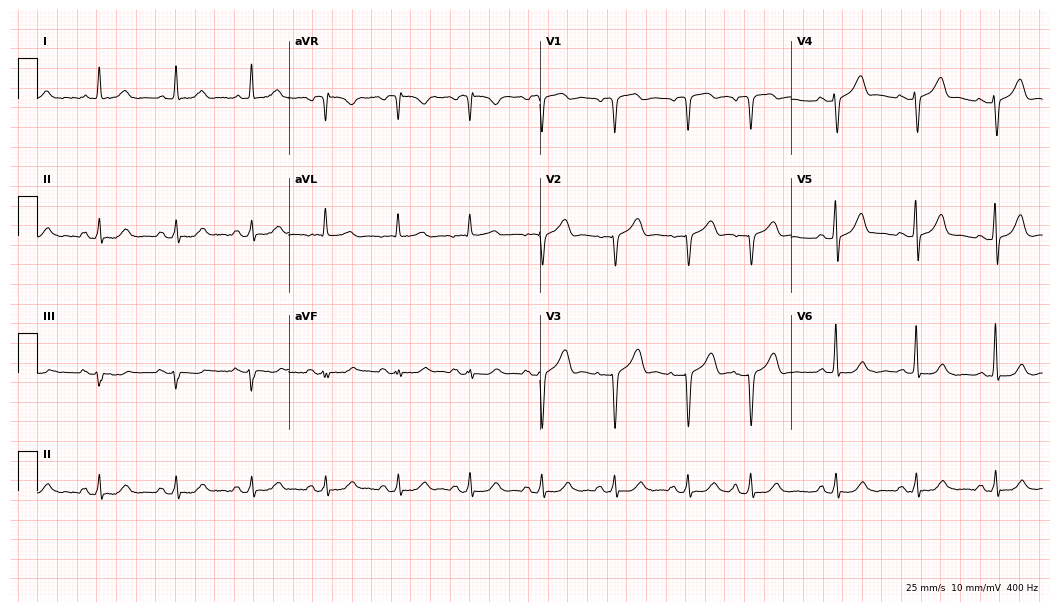
12-lead ECG (10.2-second recording at 400 Hz) from a 66-year-old man. Screened for six findings — first-degree AV block, right bundle branch block, left bundle branch block, sinus bradycardia, atrial fibrillation, sinus tachycardia — none is recorded.